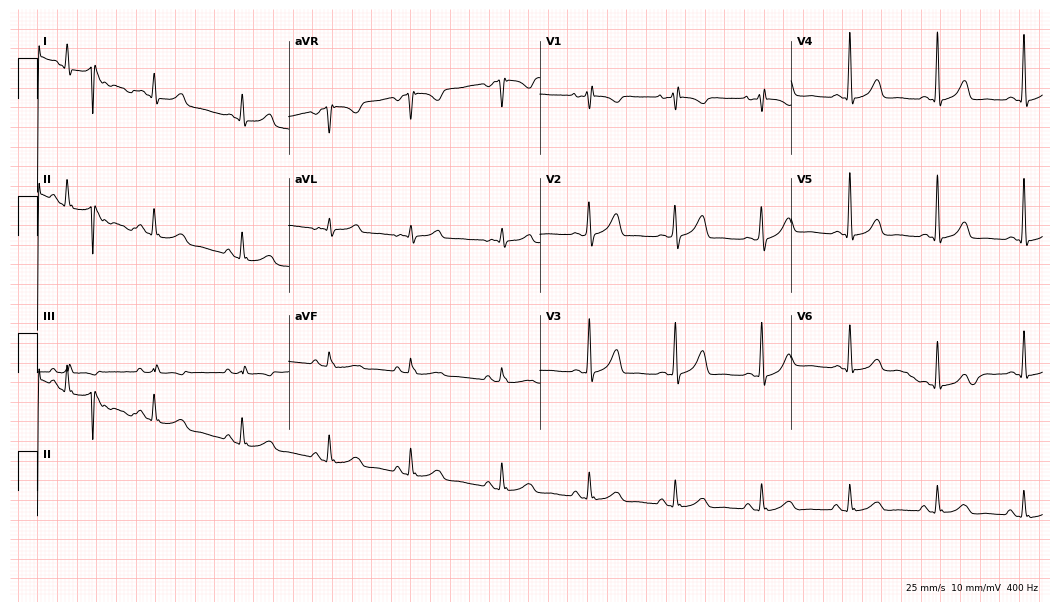
ECG (10.2-second recording at 400 Hz) — a 56-year-old woman. Labelled as a normal ECG.